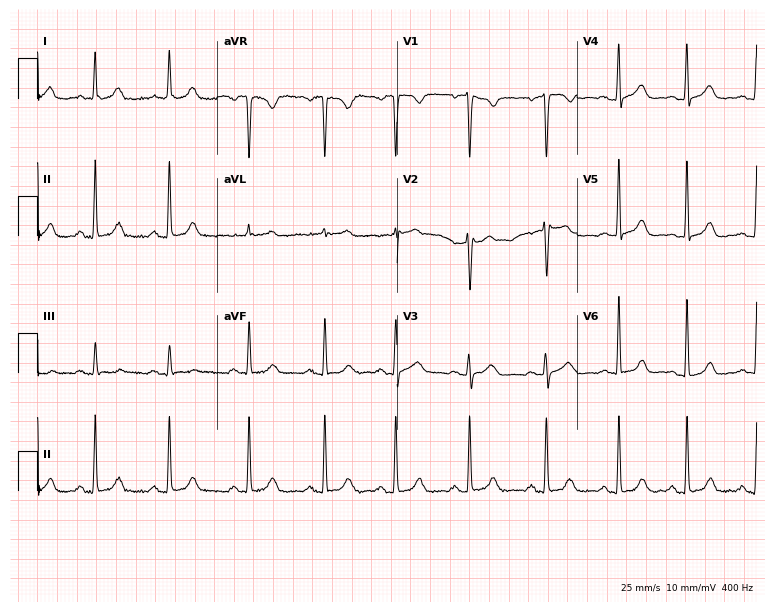
12-lead ECG from a woman, 49 years old. Labelled as a normal ECG.